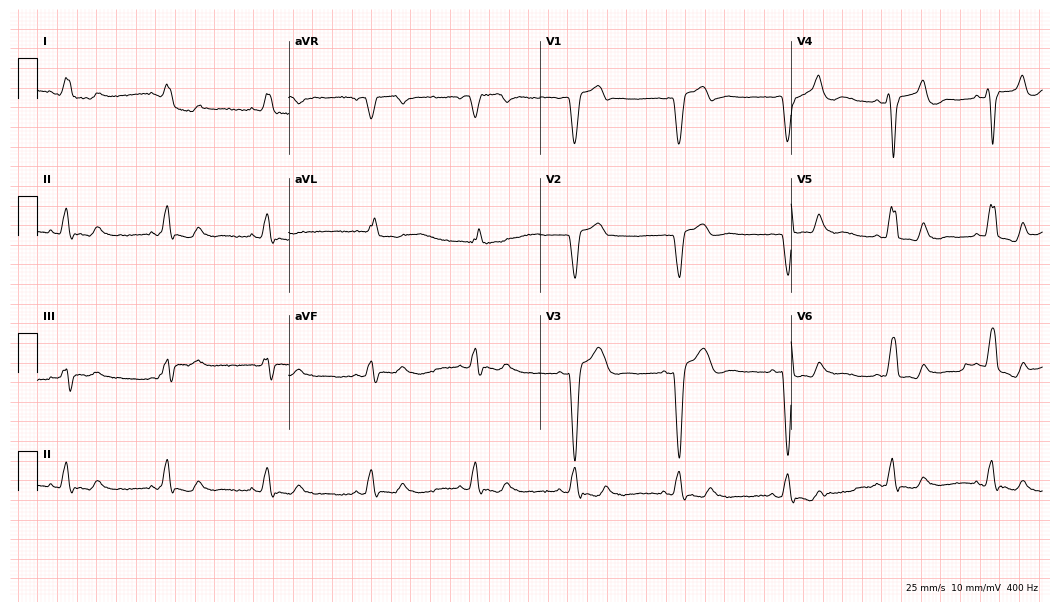
ECG — an 83-year-old male patient. Findings include left bundle branch block.